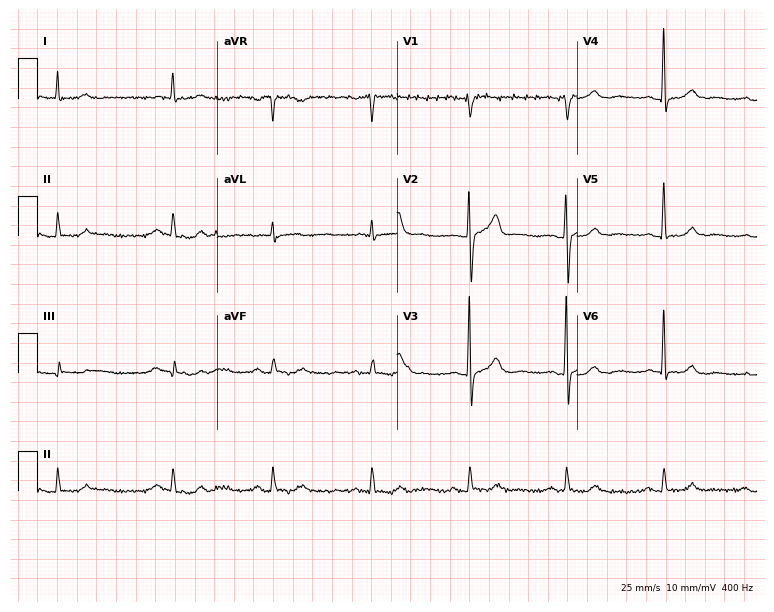
ECG (7.3-second recording at 400 Hz) — a 74-year-old male patient. Labelled as a normal ECG.